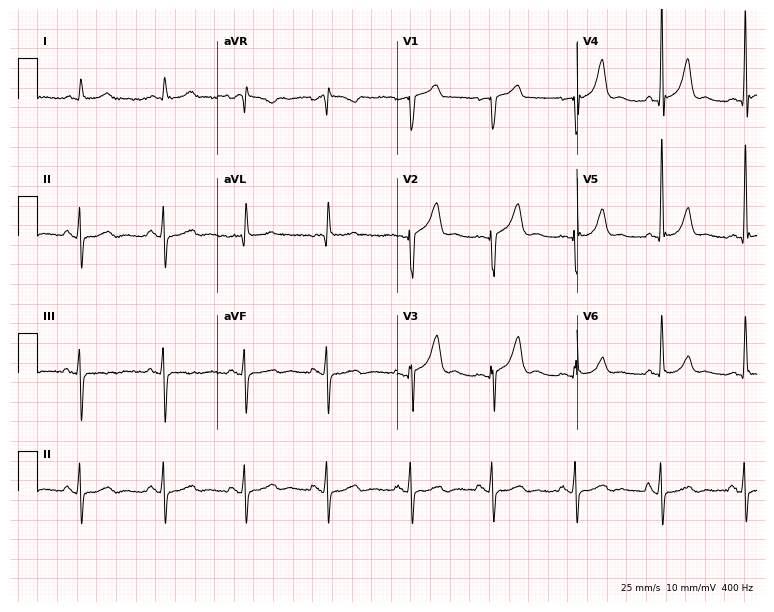
Electrocardiogram, a male, 64 years old. Of the six screened findings (first-degree AV block, right bundle branch block, left bundle branch block, sinus bradycardia, atrial fibrillation, sinus tachycardia), none is recorded. Other findings, if any, are not listed.